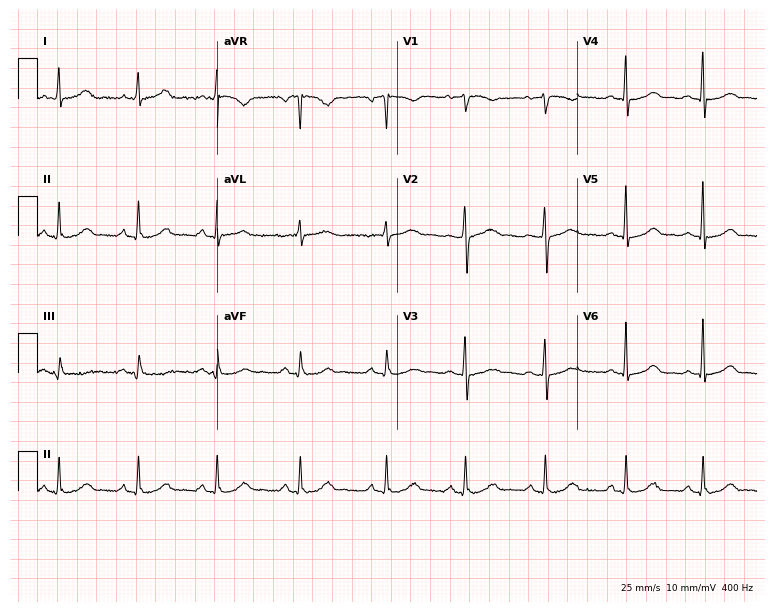
Electrocardiogram, a 45-year-old woman. Overall reading on record: normal ECG.